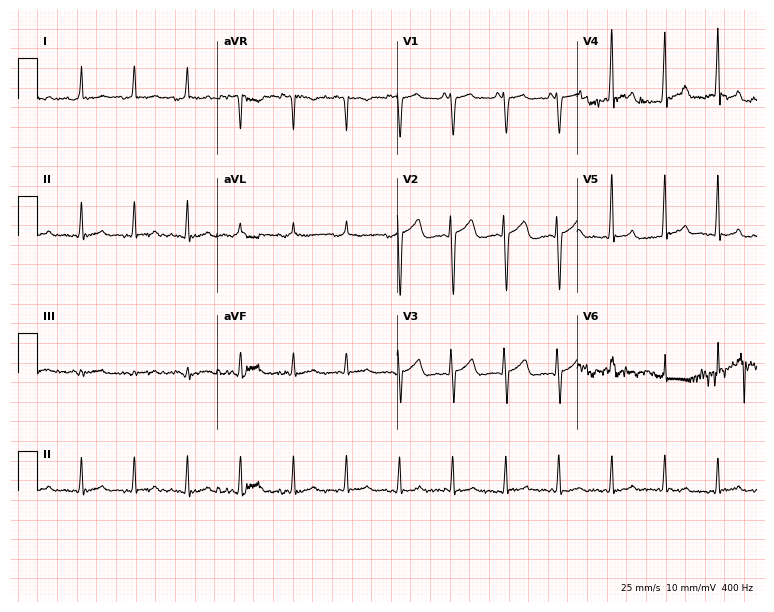
12-lead ECG from a 53-year-old female patient. Findings include sinus tachycardia (a sinus rate of 100 beats per minute or more).